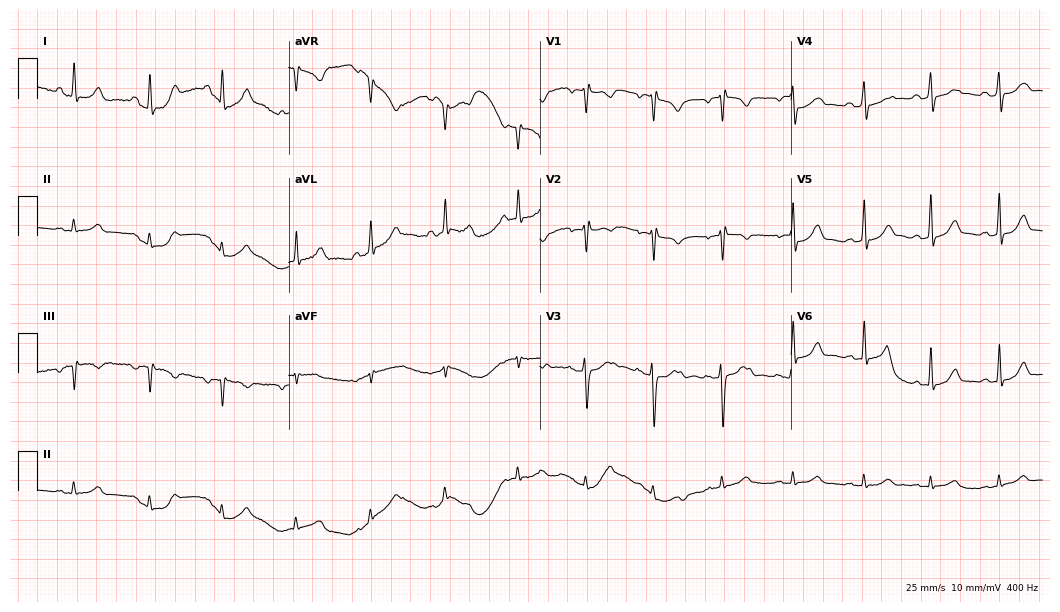
Standard 12-lead ECG recorded from a 22-year-old female. None of these six findings is recorded: first-degree AV block, right bundle branch block, left bundle branch block, sinus bradycardia, atrial fibrillation, sinus tachycardia. Only these six findings were labelled.